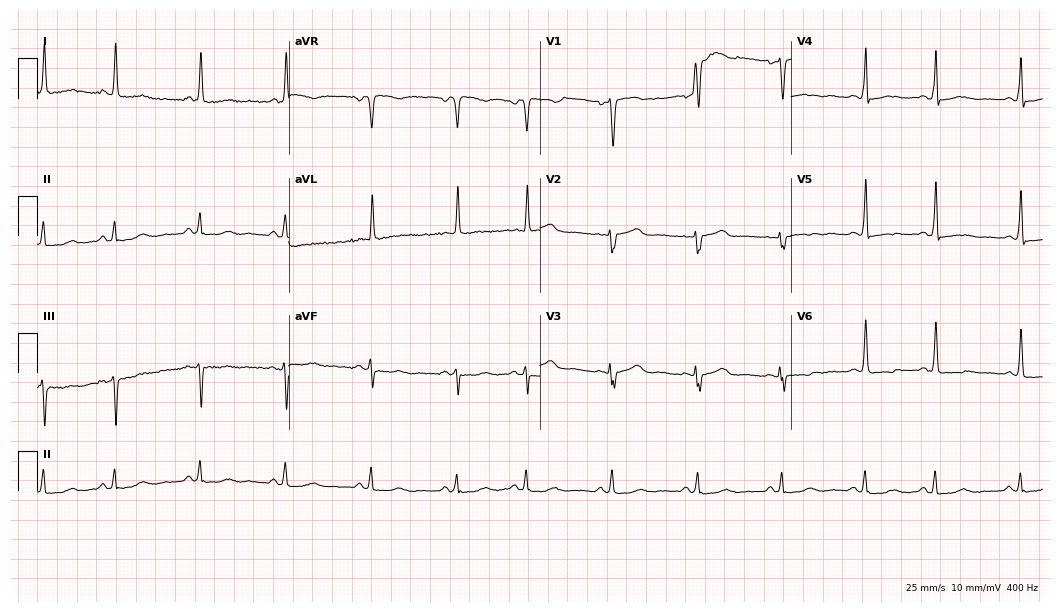
Electrocardiogram, a female patient, 71 years old. Of the six screened findings (first-degree AV block, right bundle branch block, left bundle branch block, sinus bradycardia, atrial fibrillation, sinus tachycardia), none is recorded.